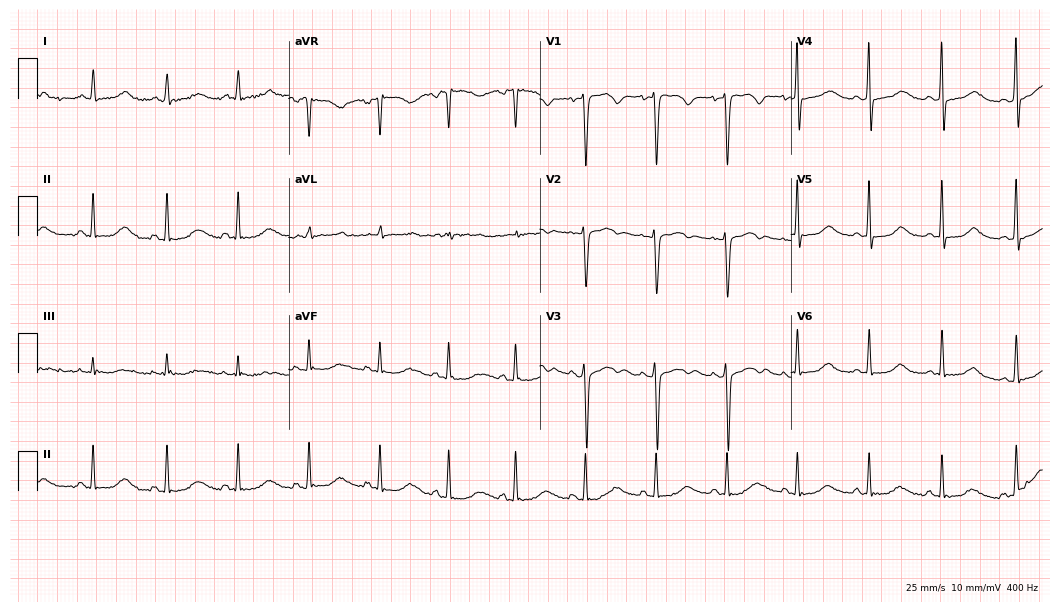
ECG — a female, 41 years old. Screened for six findings — first-degree AV block, right bundle branch block, left bundle branch block, sinus bradycardia, atrial fibrillation, sinus tachycardia — none is recorded.